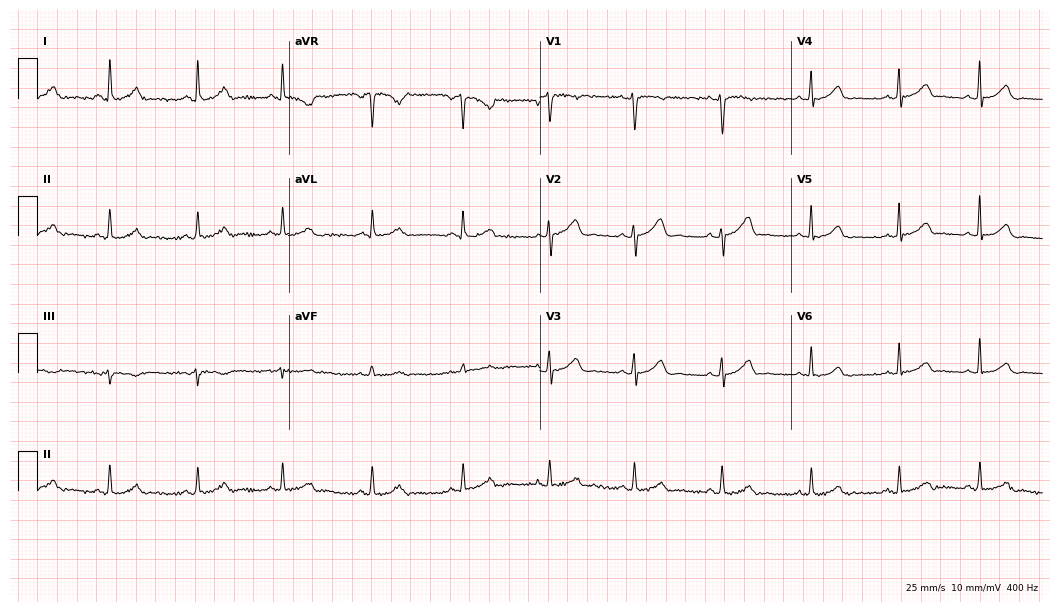
Resting 12-lead electrocardiogram. Patient: a female, 46 years old. None of these six findings is recorded: first-degree AV block, right bundle branch block, left bundle branch block, sinus bradycardia, atrial fibrillation, sinus tachycardia.